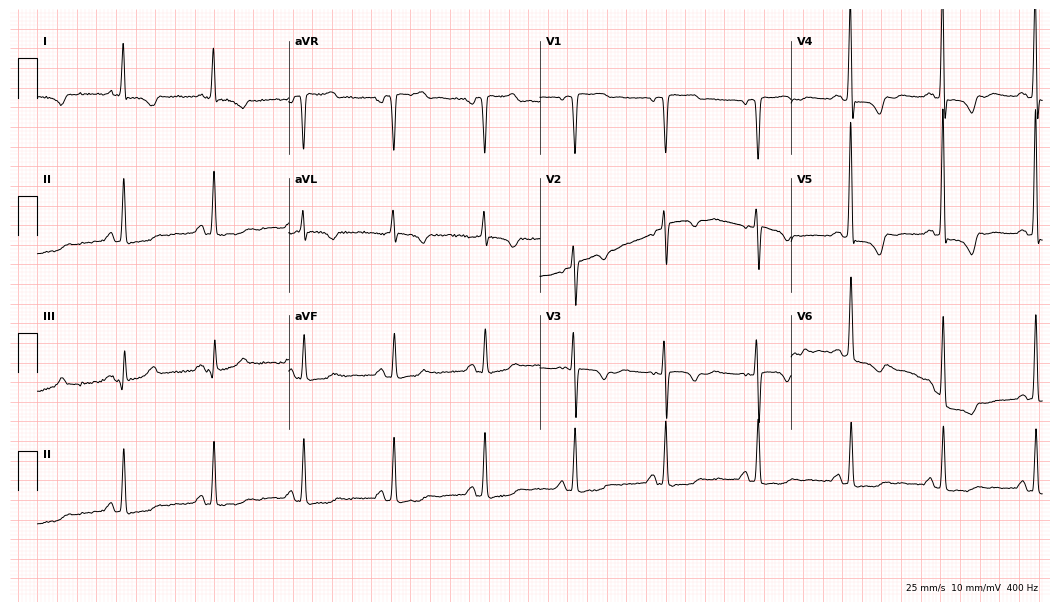
Standard 12-lead ECG recorded from a female, 75 years old. None of these six findings is recorded: first-degree AV block, right bundle branch block (RBBB), left bundle branch block (LBBB), sinus bradycardia, atrial fibrillation (AF), sinus tachycardia.